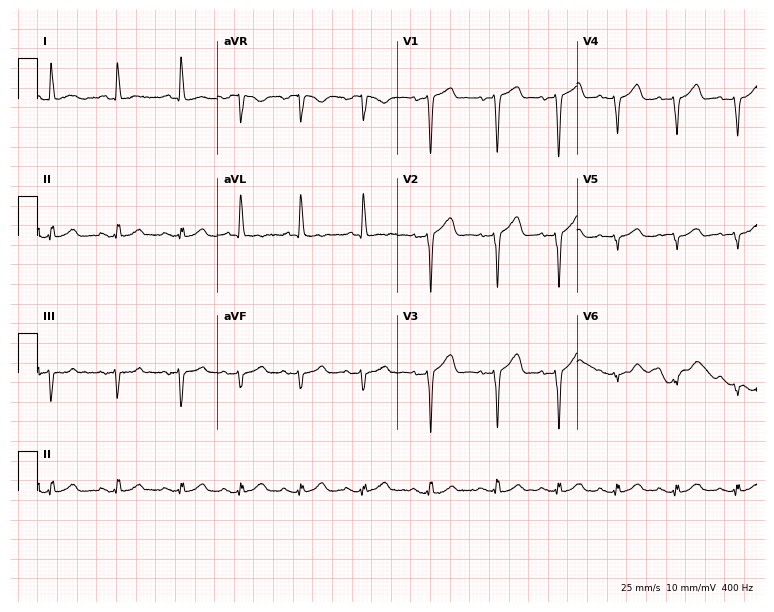
12-lead ECG from a woman, 73 years old. Screened for six findings — first-degree AV block, right bundle branch block, left bundle branch block, sinus bradycardia, atrial fibrillation, sinus tachycardia — none is recorded.